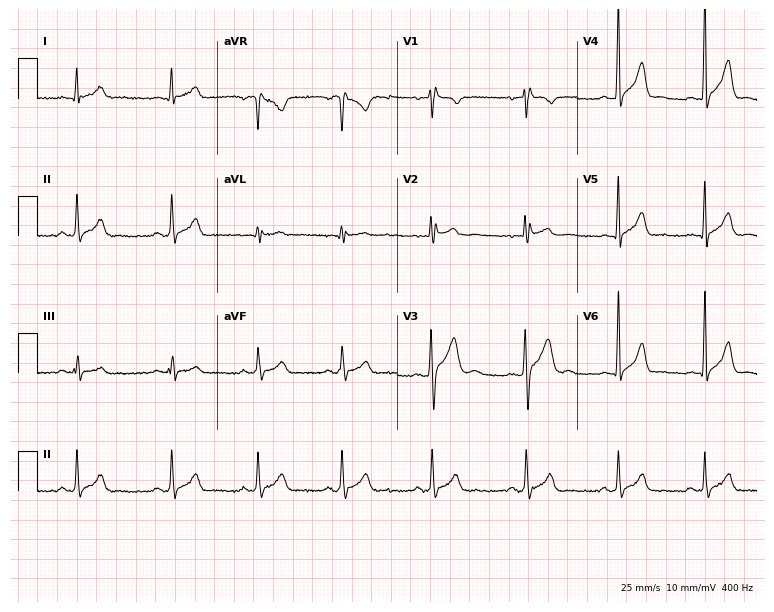
12-lead ECG from a 23-year-old man. Screened for six findings — first-degree AV block, right bundle branch block, left bundle branch block, sinus bradycardia, atrial fibrillation, sinus tachycardia — none is recorded. Other findings, if any, are not listed.